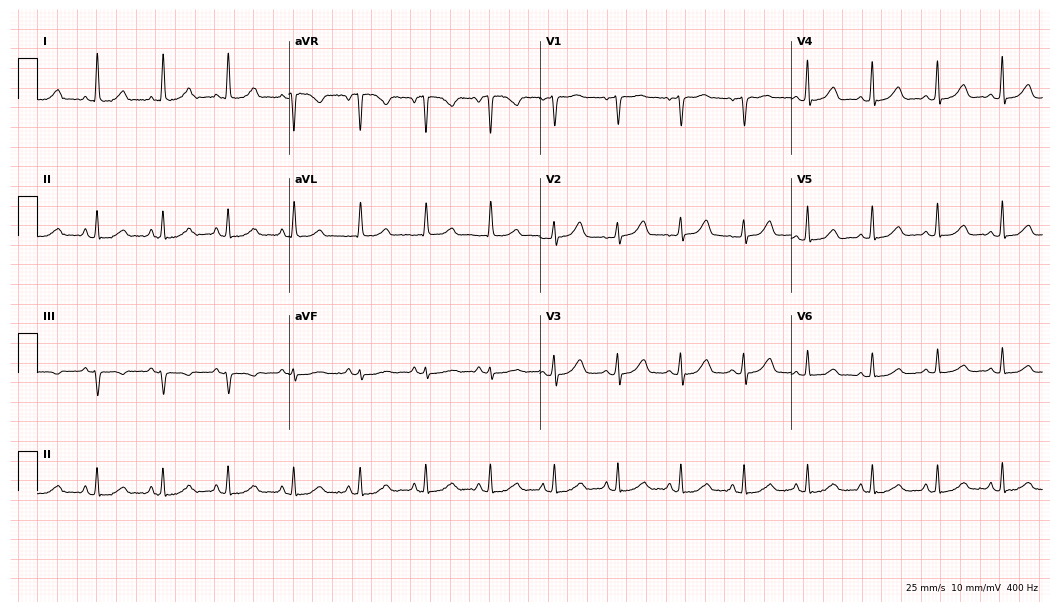
12-lead ECG (10.2-second recording at 400 Hz) from a female, 56 years old. Labelled as a normal ECG.